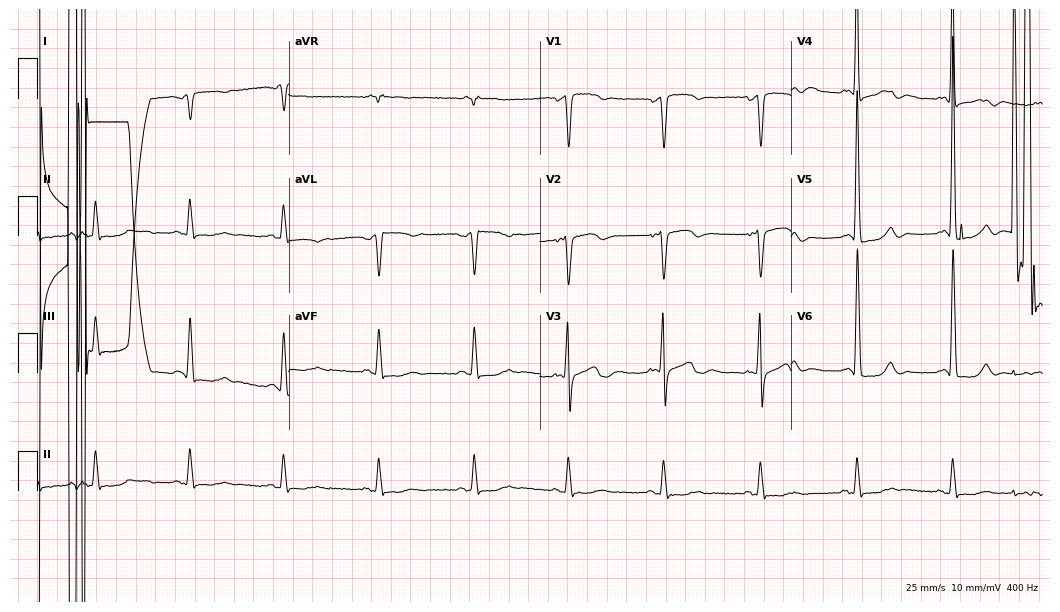
Electrocardiogram, a man, 82 years old. Of the six screened findings (first-degree AV block, right bundle branch block, left bundle branch block, sinus bradycardia, atrial fibrillation, sinus tachycardia), none is recorded. Findings outside these six are not listed.